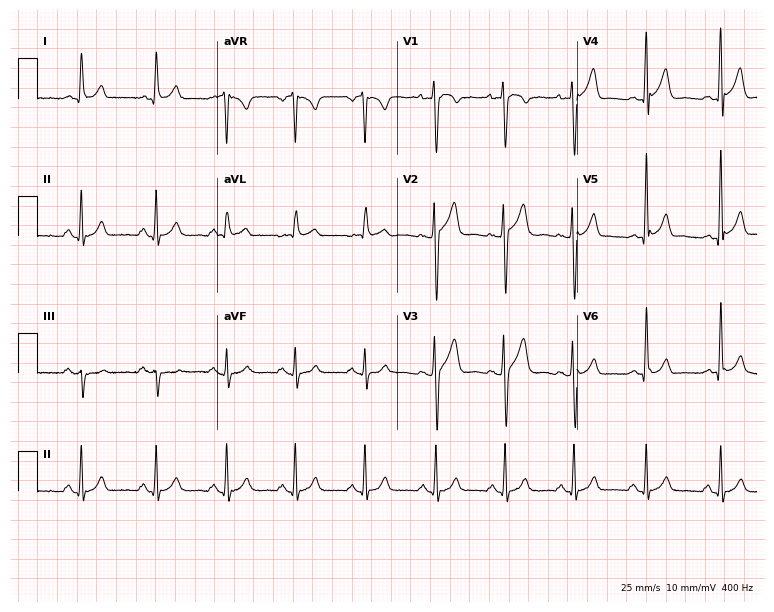
Electrocardiogram, a 45-year-old man. Of the six screened findings (first-degree AV block, right bundle branch block, left bundle branch block, sinus bradycardia, atrial fibrillation, sinus tachycardia), none is recorded.